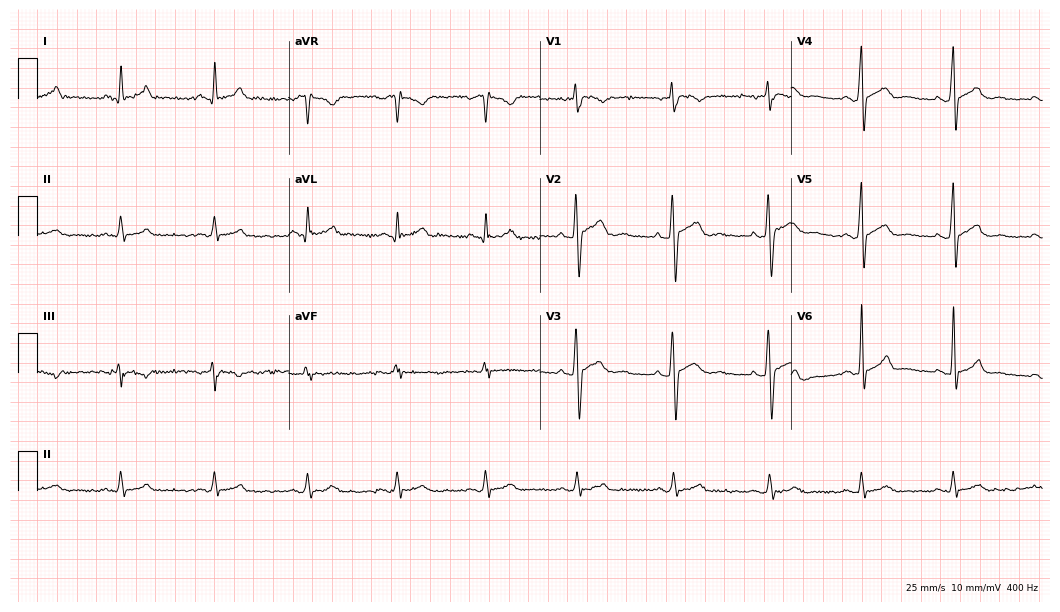
Resting 12-lead electrocardiogram. Patient: a 33-year-old male. Read as a normal ECG.